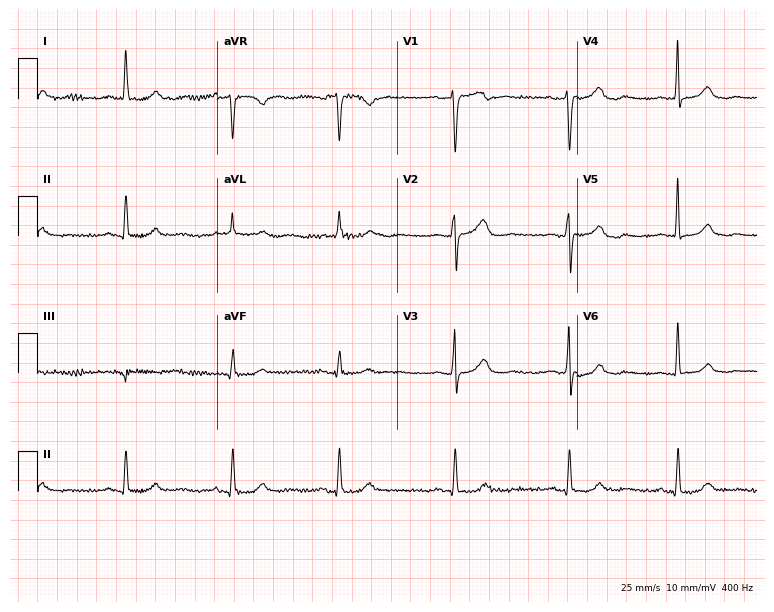
Resting 12-lead electrocardiogram. Patient: a 71-year-old woman. None of these six findings is recorded: first-degree AV block, right bundle branch block, left bundle branch block, sinus bradycardia, atrial fibrillation, sinus tachycardia. Only these six findings were labelled.